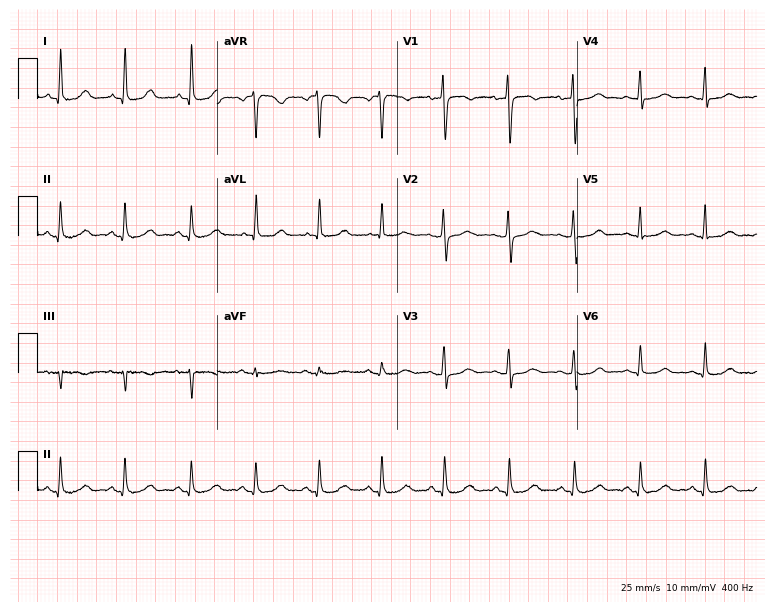
Electrocardiogram (7.3-second recording at 400 Hz), a man, 54 years old. Overall reading on record: normal ECG.